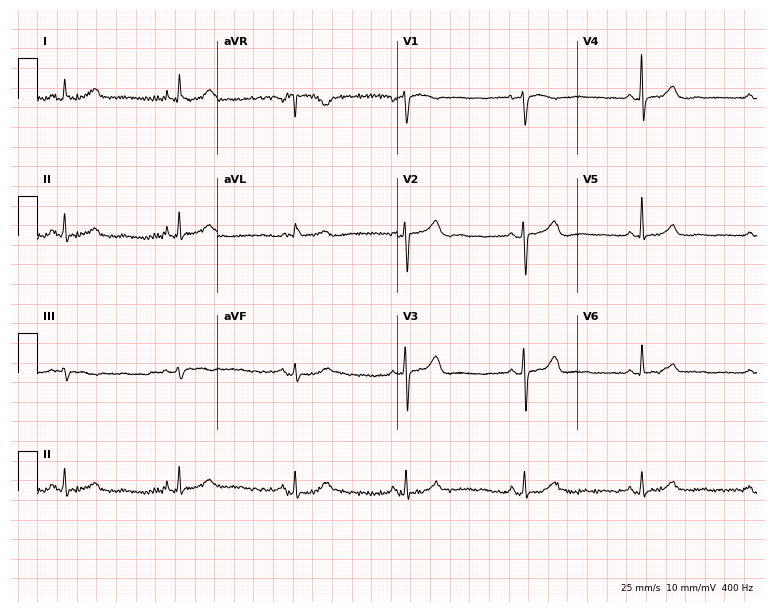
12-lead ECG from a 58-year-old woman. Recorded interpretation: within normal limits.